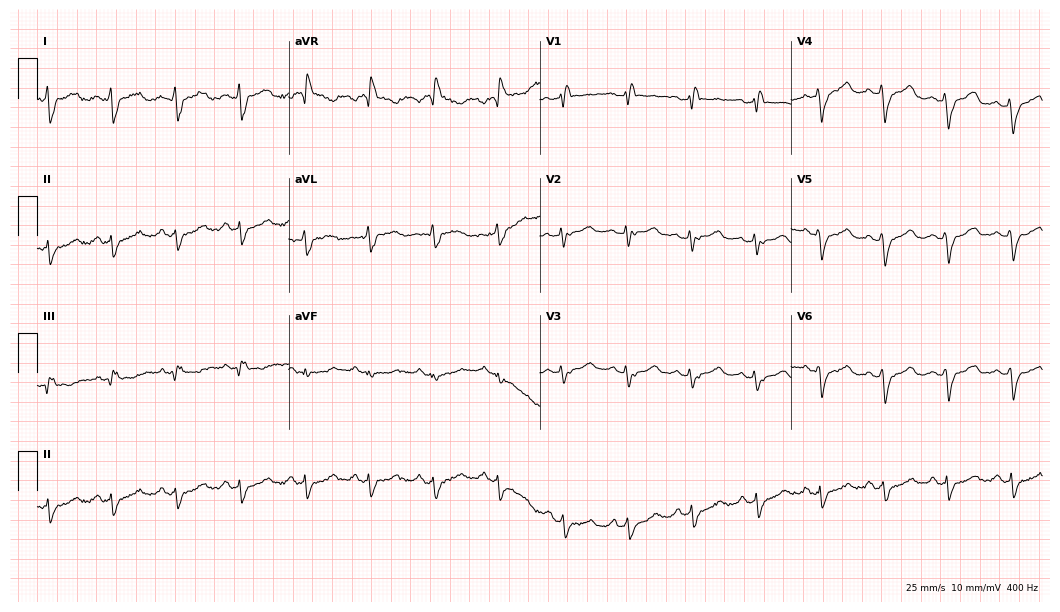
Electrocardiogram, a 48-year-old woman. Of the six screened findings (first-degree AV block, right bundle branch block, left bundle branch block, sinus bradycardia, atrial fibrillation, sinus tachycardia), none is recorded. Only these six findings were labelled.